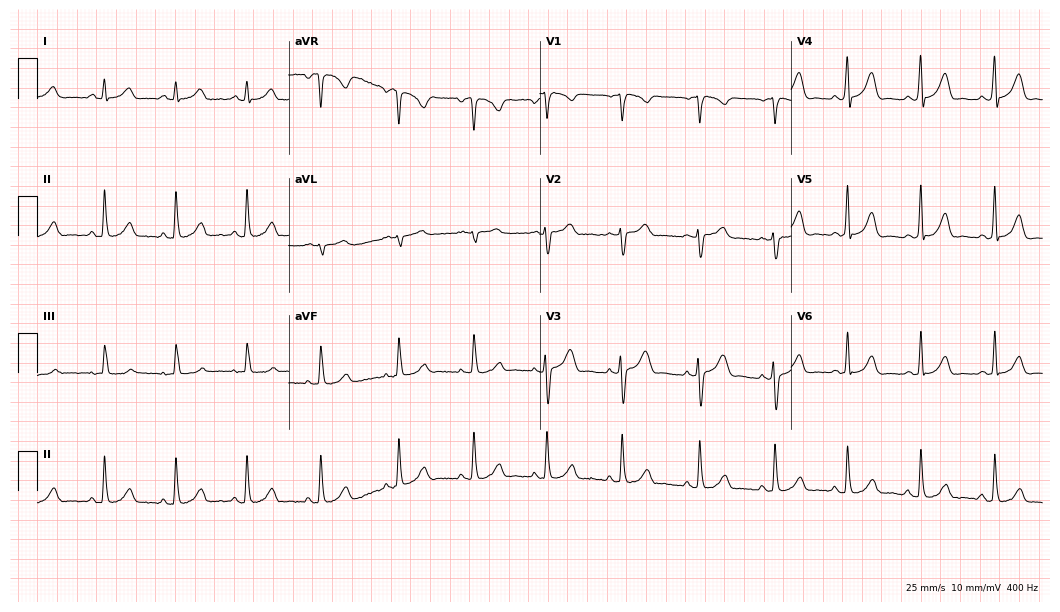
Electrocardiogram (10.2-second recording at 400 Hz), a female patient, 39 years old. Overall reading on record: normal ECG.